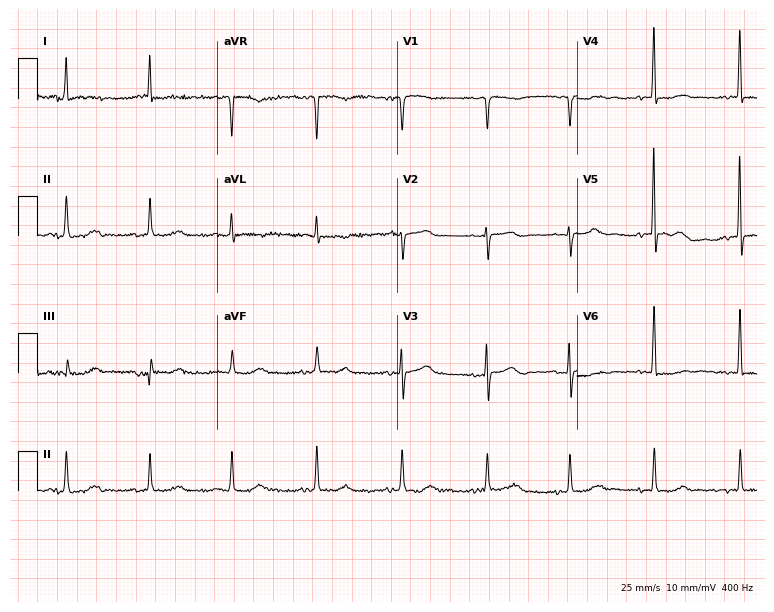
ECG (7.3-second recording at 400 Hz) — a woman, 80 years old. Labelled as a normal ECG.